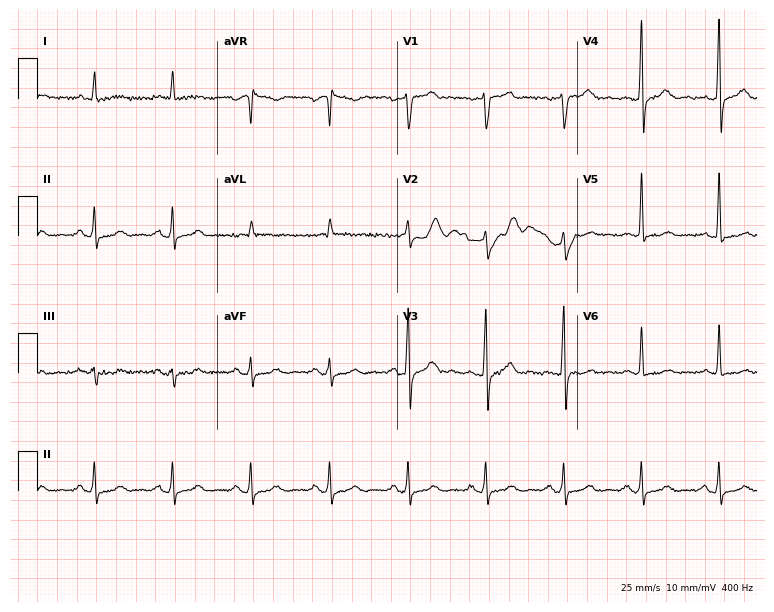
Resting 12-lead electrocardiogram. Patient: a man, 58 years old. None of these six findings is recorded: first-degree AV block, right bundle branch block (RBBB), left bundle branch block (LBBB), sinus bradycardia, atrial fibrillation (AF), sinus tachycardia. Only these six findings were labelled.